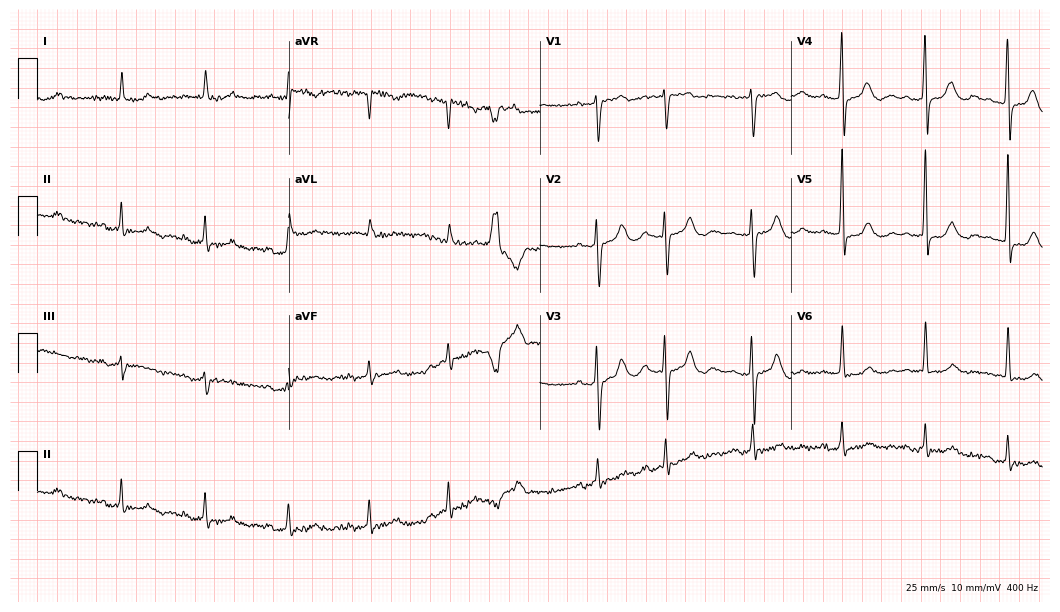
Standard 12-lead ECG recorded from a woman, 80 years old (10.2-second recording at 400 Hz). None of these six findings is recorded: first-degree AV block, right bundle branch block, left bundle branch block, sinus bradycardia, atrial fibrillation, sinus tachycardia. Other findings, if any, are not listed.